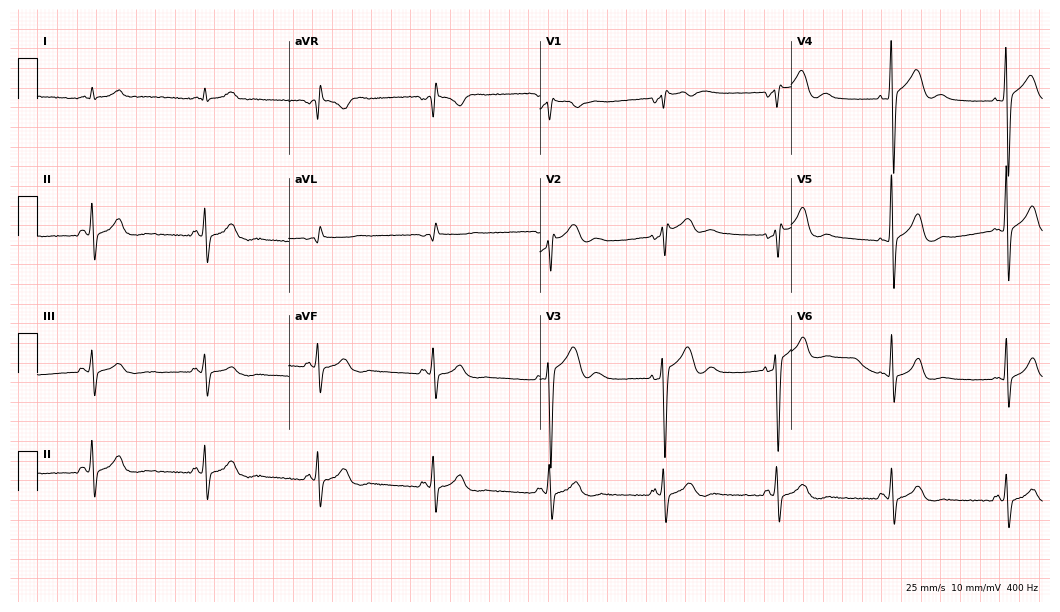
Electrocardiogram (10.2-second recording at 400 Hz), a 59-year-old man. Of the six screened findings (first-degree AV block, right bundle branch block, left bundle branch block, sinus bradycardia, atrial fibrillation, sinus tachycardia), none is recorded.